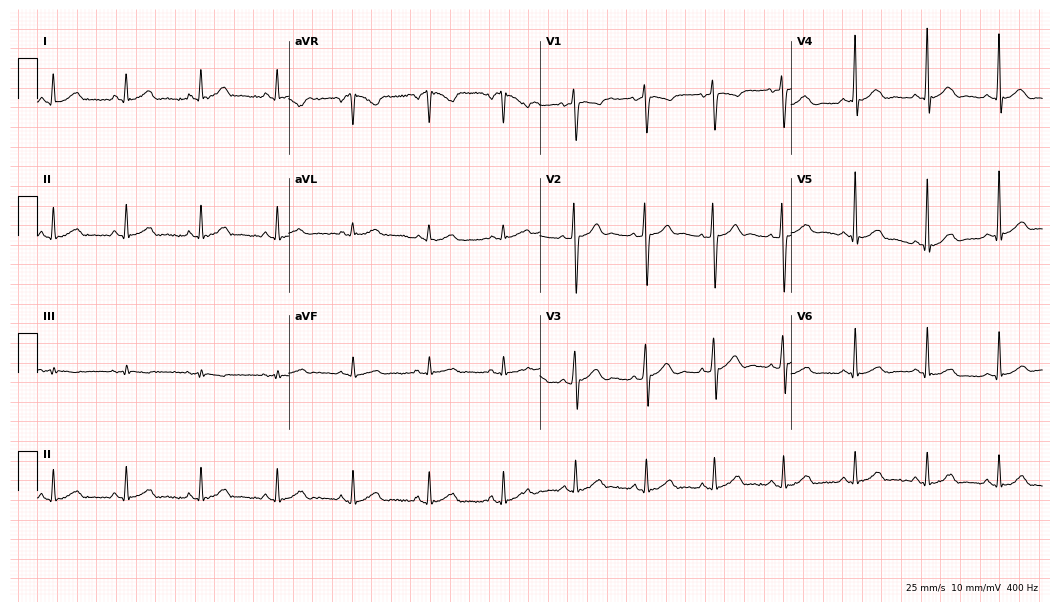
ECG (10.2-second recording at 400 Hz) — a male, 41 years old. Labelled as a normal ECG.